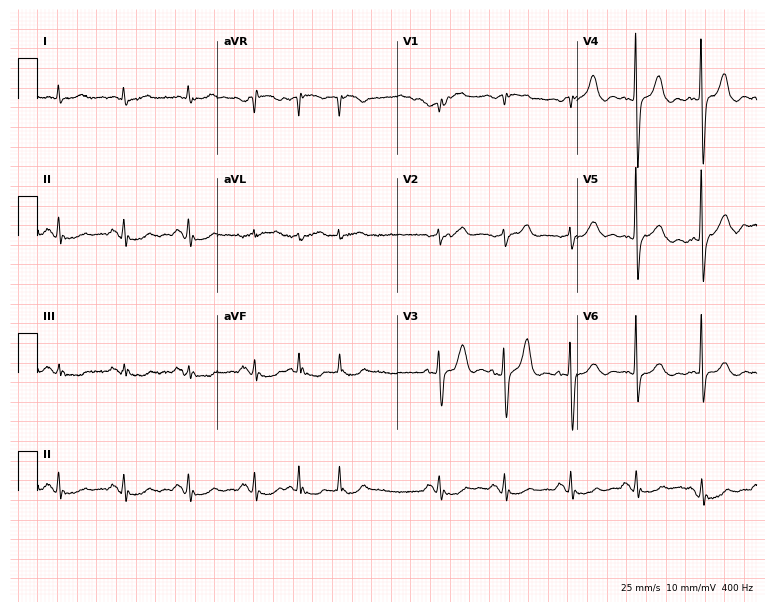
Resting 12-lead electrocardiogram. Patient: a 73-year-old male. None of these six findings is recorded: first-degree AV block, right bundle branch block, left bundle branch block, sinus bradycardia, atrial fibrillation, sinus tachycardia. Findings outside these six are not listed.